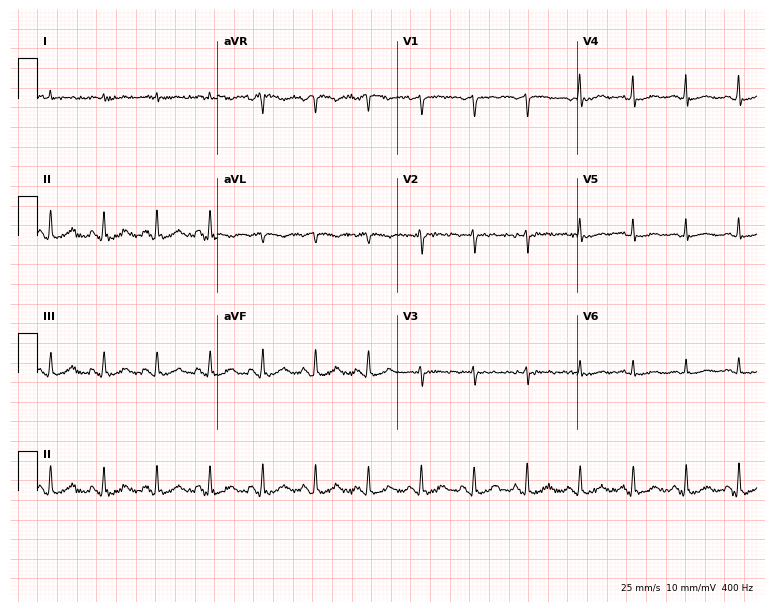
ECG — a 69-year-old man. Findings include sinus tachycardia (a sinus rate of 100 beats per minute or more).